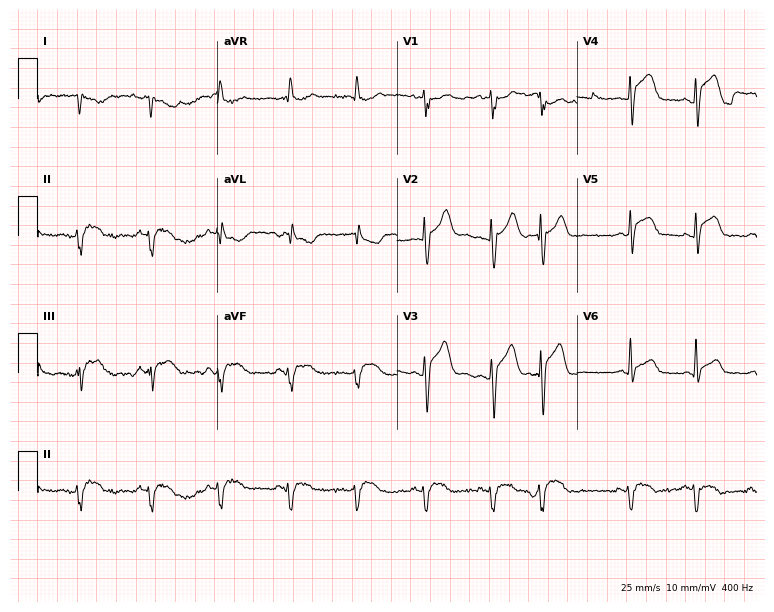
12-lead ECG from a 60-year-old male (7.3-second recording at 400 Hz). No first-degree AV block, right bundle branch block (RBBB), left bundle branch block (LBBB), sinus bradycardia, atrial fibrillation (AF) or sinus tachycardia recorded for this tracing. Findings outside these six are not listed.